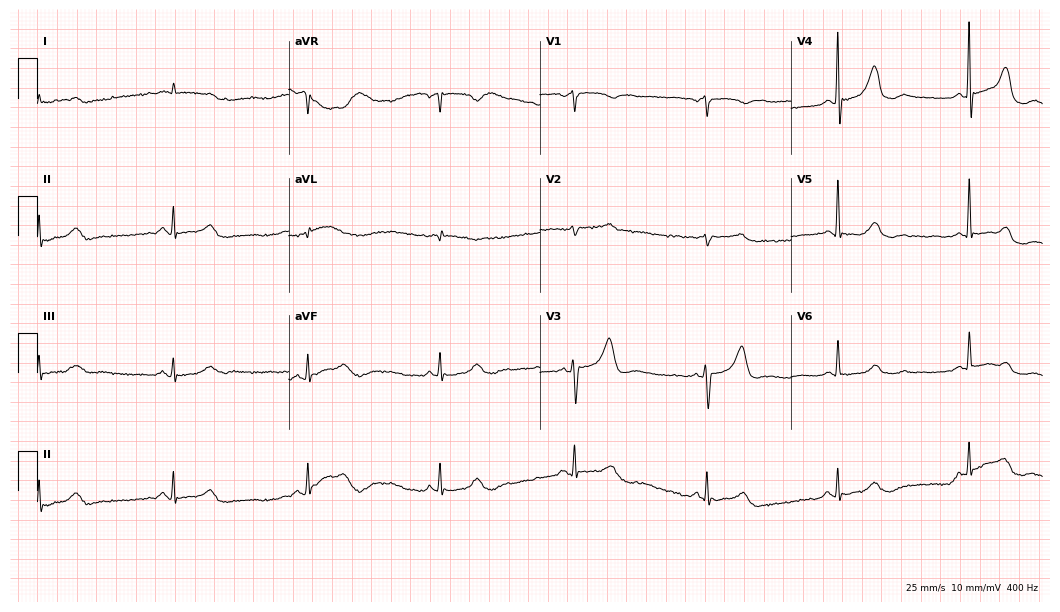
12-lead ECG from a male patient, 82 years old. Screened for six findings — first-degree AV block, right bundle branch block (RBBB), left bundle branch block (LBBB), sinus bradycardia, atrial fibrillation (AF), sinus tachycardia — none is recorded.